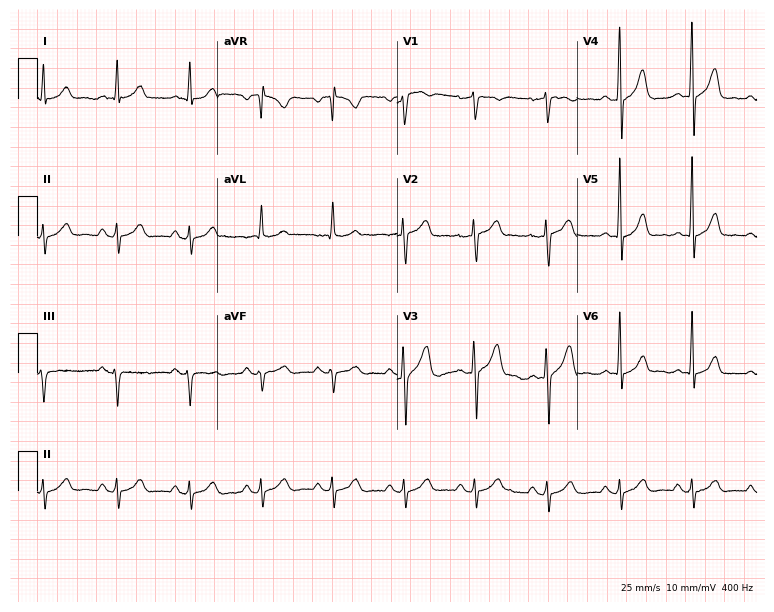
12-lead ECG from a 44-year-old male (7.3-second recording at 400 Hz). No first-degree AV block, right bundle branch block (RBBB), left bundle branch block (LBBB), sinus bradycardia, atrial fibrillation (AF) or sinus tachycardia recorded for this tracing.